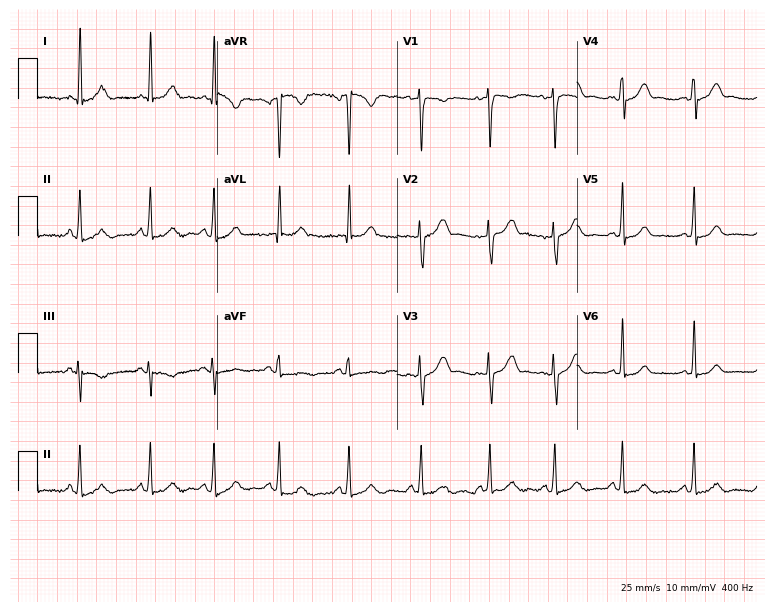
Standard 12-lead ECG recorded from a 29-year-old female. Read as a normal ECG.